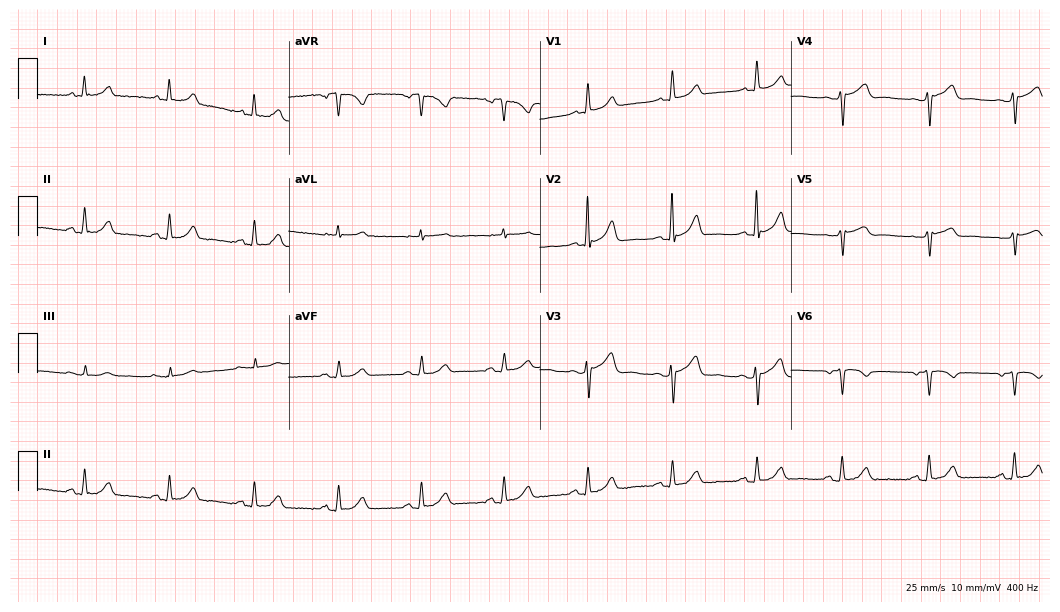
Standard 12-lead ECG recorded from a 66-year-old man (10.2-second recording at 400 Hz). None of these six findings is recorded: first-degree AV block, right bundle branch block (RBBB), left bundle branch block (LBBB), sinus bradycardia, atrial fibrillation (AF), sinus tachycardia. Only these six findings were labelled.